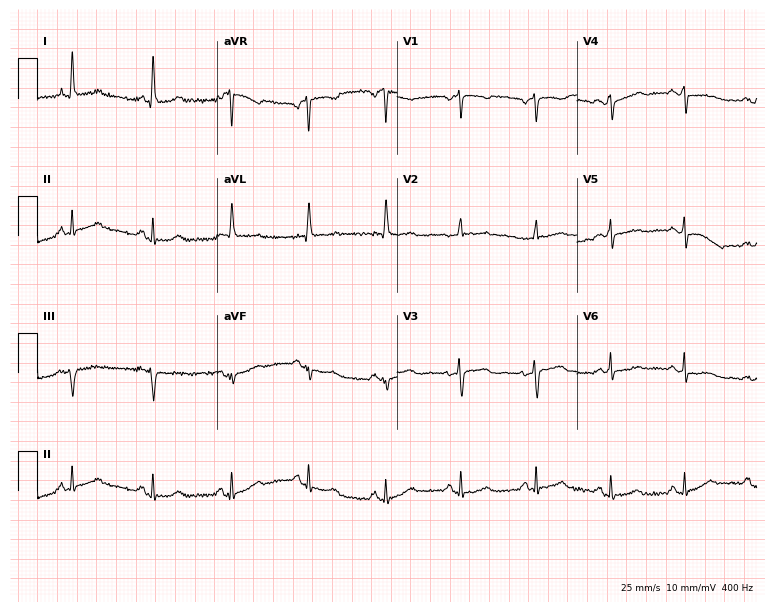
Electrocardiogram, a female, 62 years old. Of the six screened findings (first-degree AV block, right bundle branch block, left bundle branch block, sinus bradycardia, atrial fibrillation, sinus tachycardia), none is recorded.